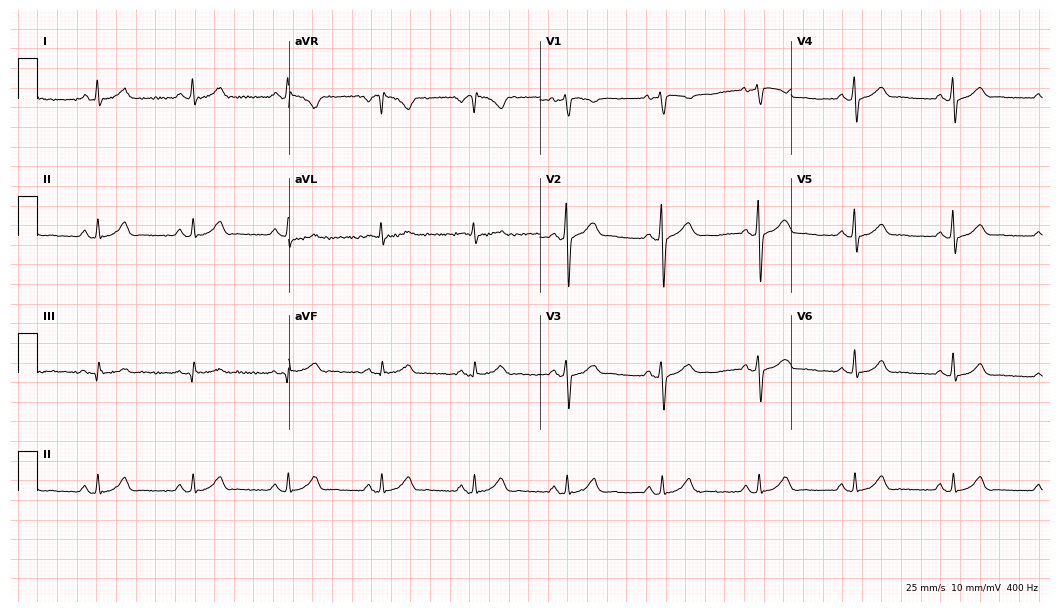
ECG (10.2-second recording at 400 Hz) — a 36-year-old male patient. Screened for six findings — first-degree AV block, right bundle branch block, left bundle branch block, sinus bradycardia, atrial fibrillation, sinus tachycardia — none is recorded.